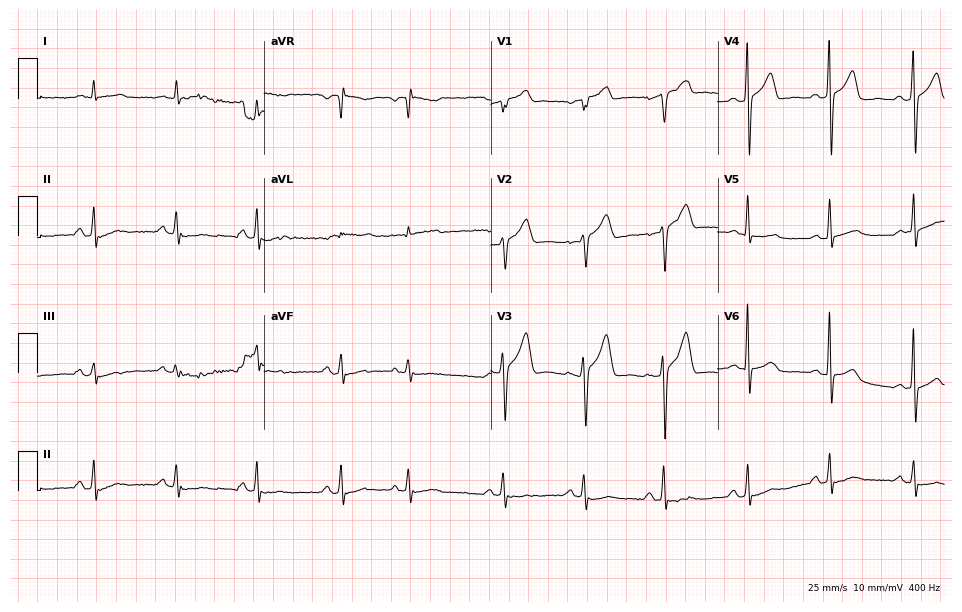
Resting 12-lead electrocardiogram. Patient: a male, 83 years old. None of these six findings is recorded: first-degree AV block, right bundle branch block (RBBB), left bundle branch block (LBBB), sinus bradycardia, atrial fibrillation (AF), sinus tachycardia. Other findings, if any, are not listed.